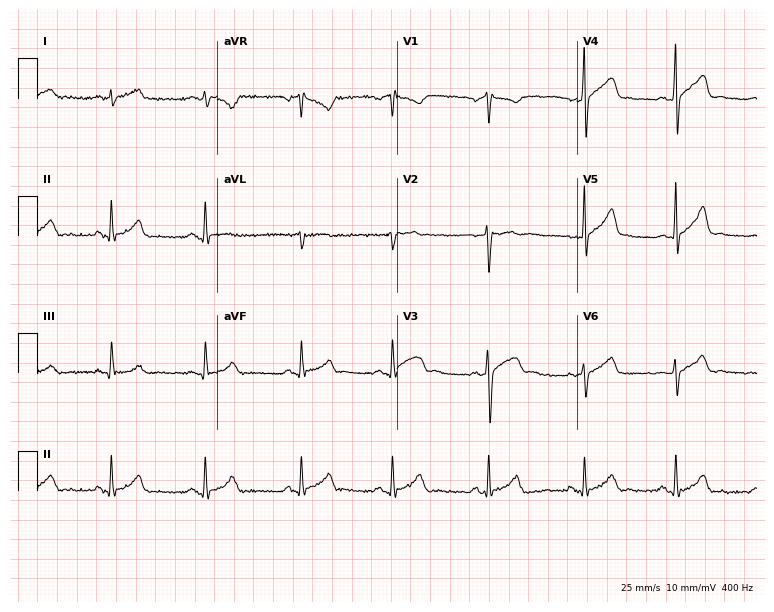
ECG (7.3-second recording at 400 Hz) — a male patient, 42 years old. Labelled as a normal ECG.